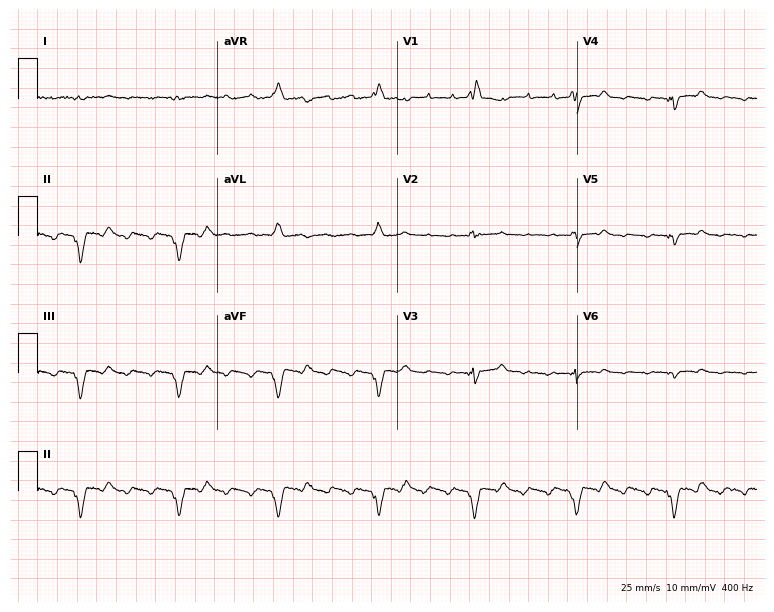
ECG — a man, 76 years old. Screened for six findings — first-degree AV block, right bundle branch block, left bundle branch block, sinus bradycardia, atrial fibrillation, sinus tachycardia — none is recorded.